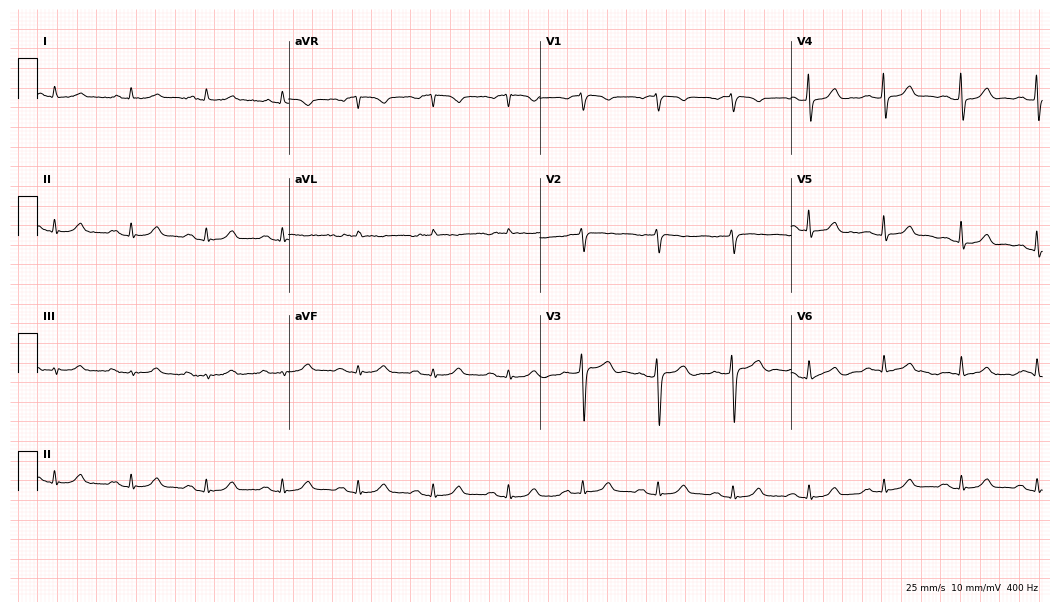
12-lead ECG (10.2-second recording at 400 Hz) from a male patient, 83 years old. Screened for six findings — first-degree AV block, right bundle branch block, left bundle branch block, sinus bradycardia, atrial fibrillation, sinus tachycardia — none is recorded. Other findings, if any, are not listed.